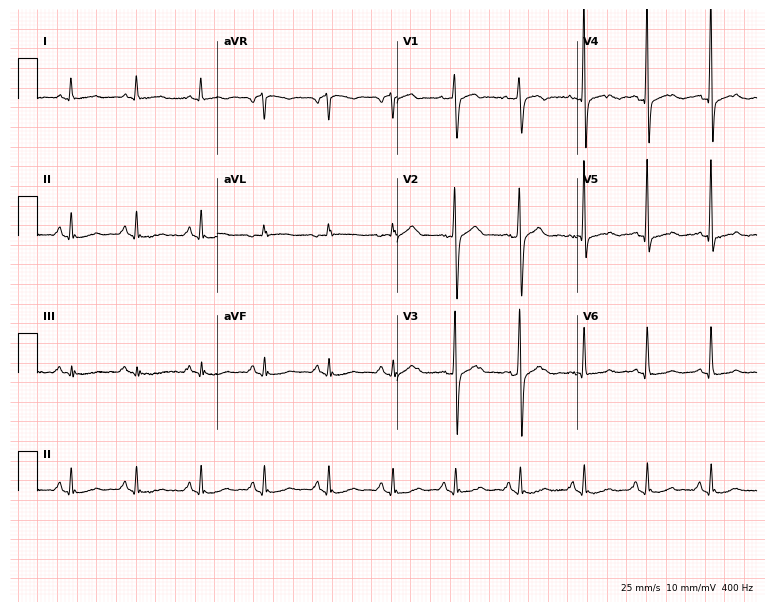
Standard 12-lead ECG recorded from a 74-year-old male (7.3-second recording at 400 Hz). None of these six findings is recorded: first-degree AV block, right bundle branch block (RBBB), left bundle branch block (LBBB), sinus bradycardia, atrial fibrillation (AF), sinus tachycardia. Findings outside these six are not listed.